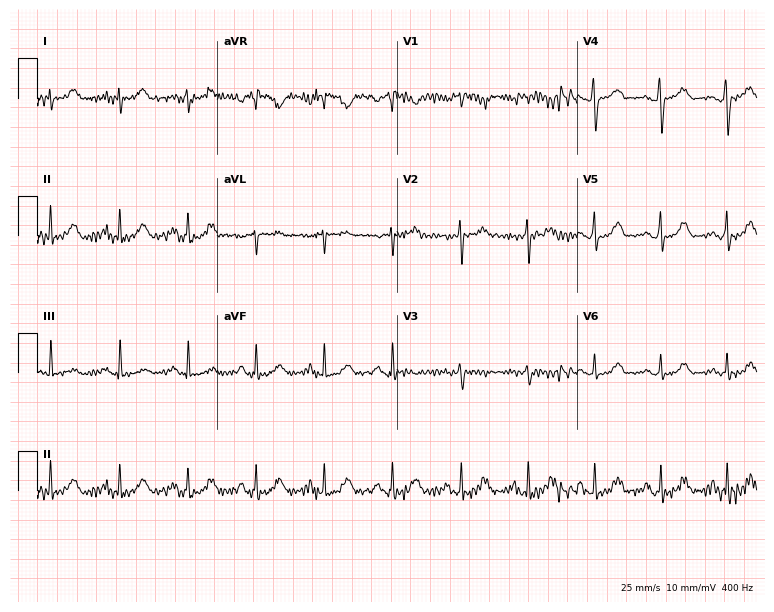
Standard 12-lead ECG recorded from a 51-year-old female (7.3-second recording at 400 Hz). None of these six findings is recorded: first-degree AV block, right bundle branch block, left bundle branch block, sinus bradycardia, atrial fibrillation, sinus tachycardia. Findings outside these six are not listed.